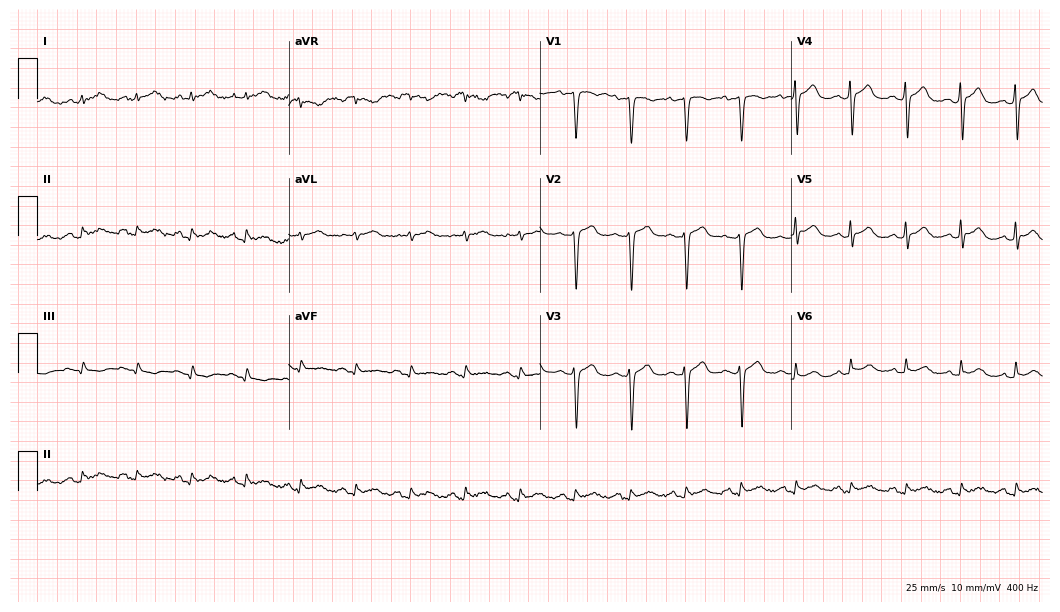
Electrocardiogram (10.2-second recording at 400 Hz), a 50-year-old female patient. Of the six screened findings (first-degree AV block, right bundle branch block, left bundle branch block, sinus bradycardia, atrial fibrillation, sinus tachycardia), none is recorded. Other findings, if any, are not listed.